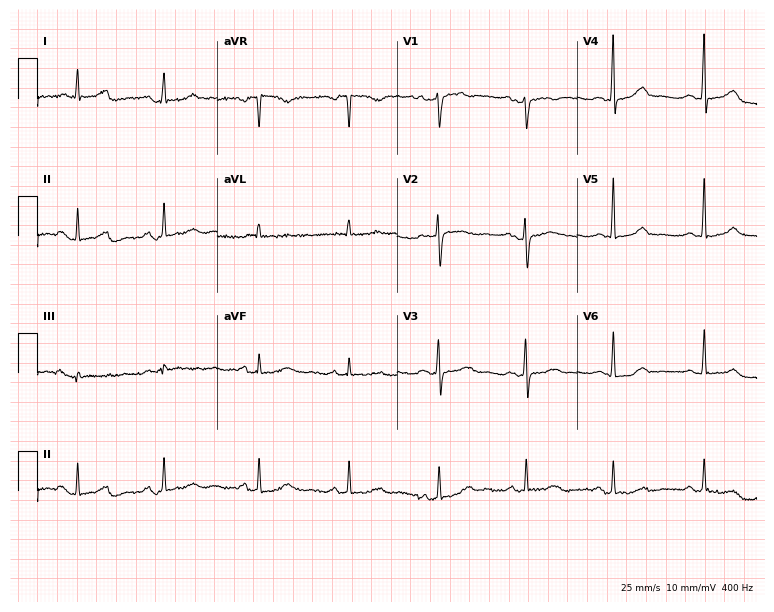
Electrocardiogram, a 56-year-old woman. Of the six screened findings (first-degree AV block, right bundle branch block (RBBB), left bundle branch block (LBBB), sinus bradycardia, atrial fibrillation (AF), sinus tachycardia), none is recorded. Findings outside these six are not listed.